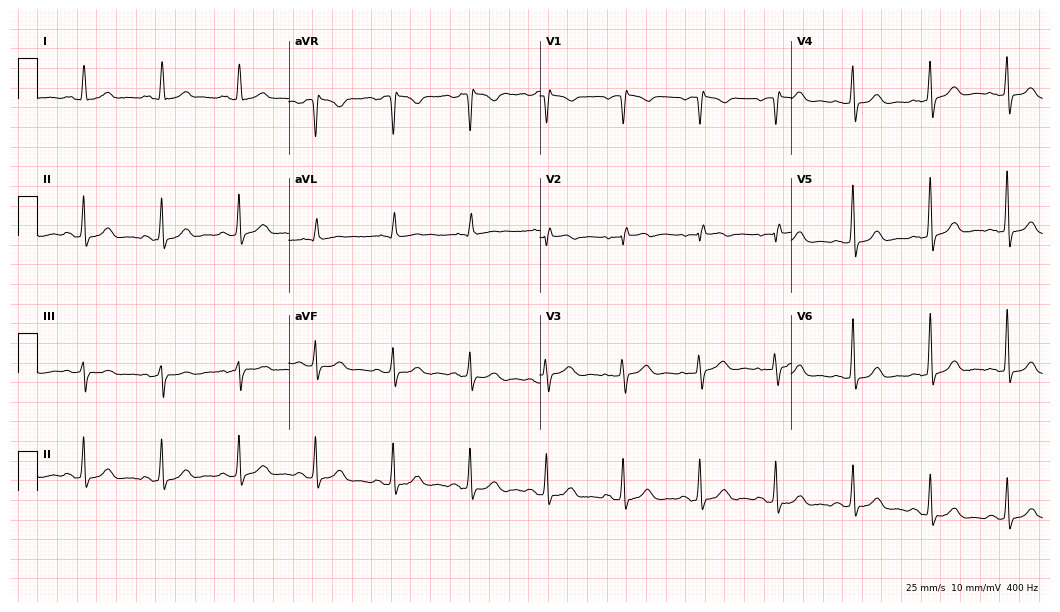
Electrocardiogram (10.2-second recording at 400 Hz), a female, 66 years old. Of the six screened findings (first-degree AV block, right bundle branch block, left bundle branch block, sinus bradycardia, atrial fibrillation, sinus tachycardia), none is recorded.